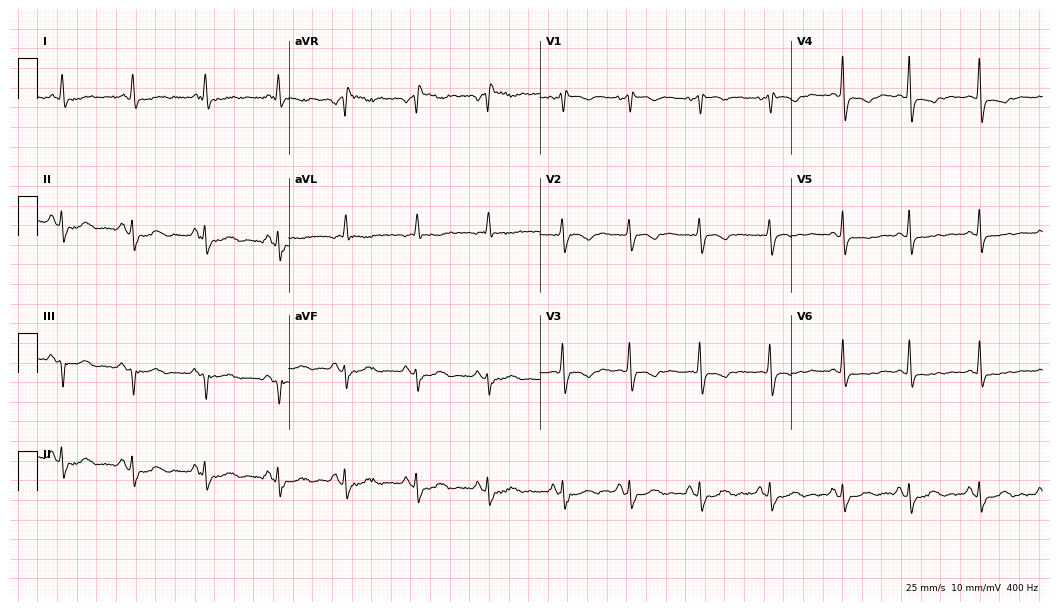
12-lead ECG (10.2-second recording at 400 Hz) from a female patient, 62 years old. Screened for six findings — first-degree AV block, right bundle branch block, left bundle branch block, sinus bradycardia, atrial fibrillation, sinus tachycardia — none is recorded. Only these six findings were labelled.